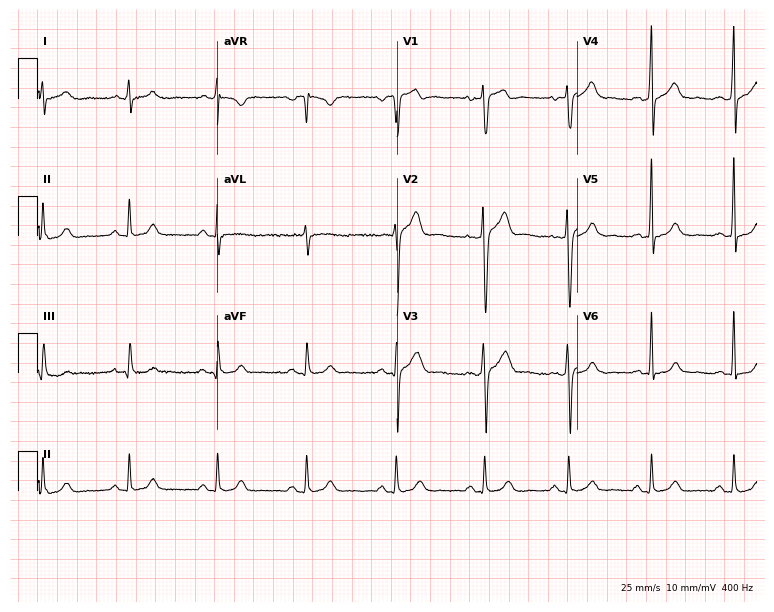
Resting 12-lead electrocardiogram (7.3-second recording at 400 Hz). Patient: a 27-year-old male. None of these six findings is recorded: first-degree AV block, right bundle branch block, left bundle branch block, sinus bradycardia, atrial fibrillation, sinus tachycardia. Other findings, if any, are not listed.